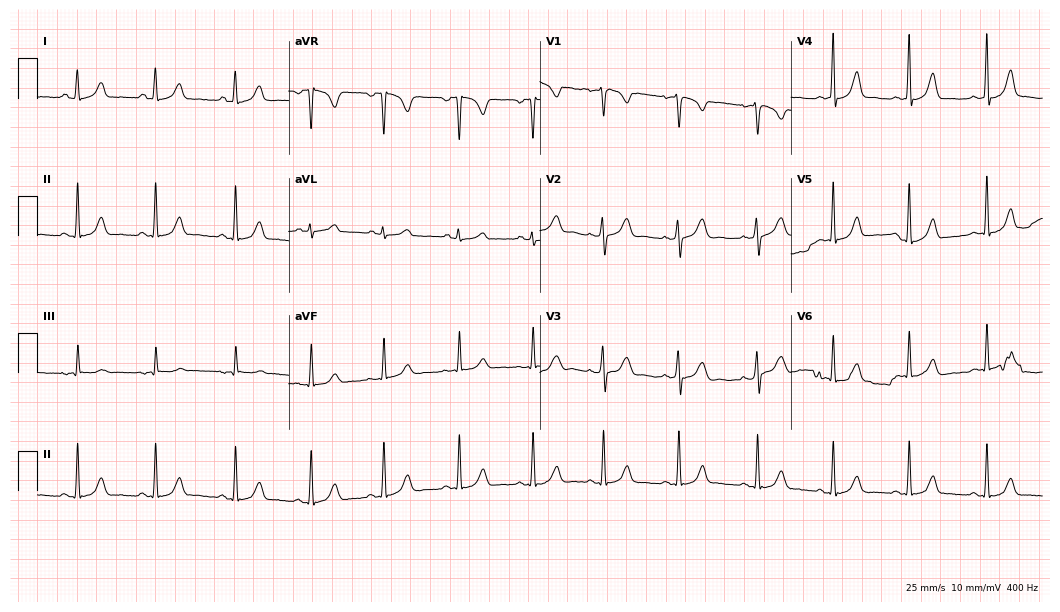
Standard 12-lead ECG recorded from a female patient, 24 years old (10.2-second recording at 400 Hz). Read as a normal ECG.